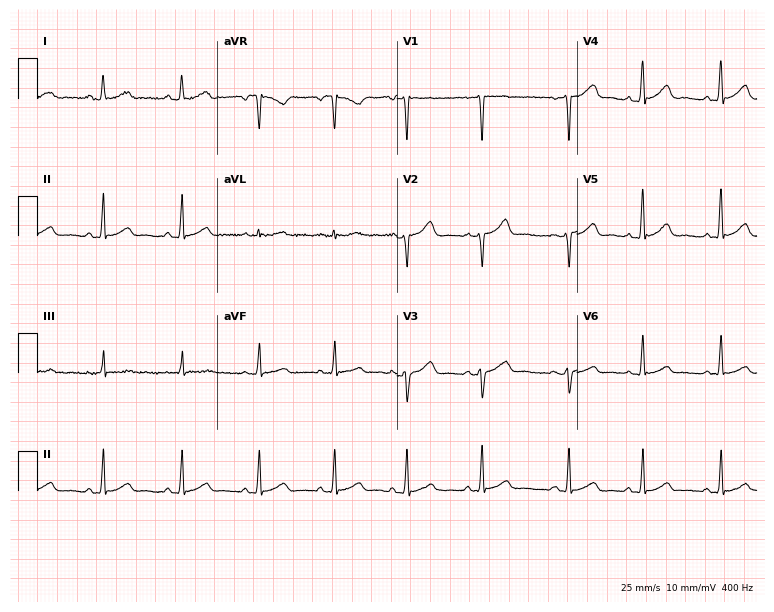
Electrocardiogram, a 29-year-old female. Overall reading on record: normal ECG.